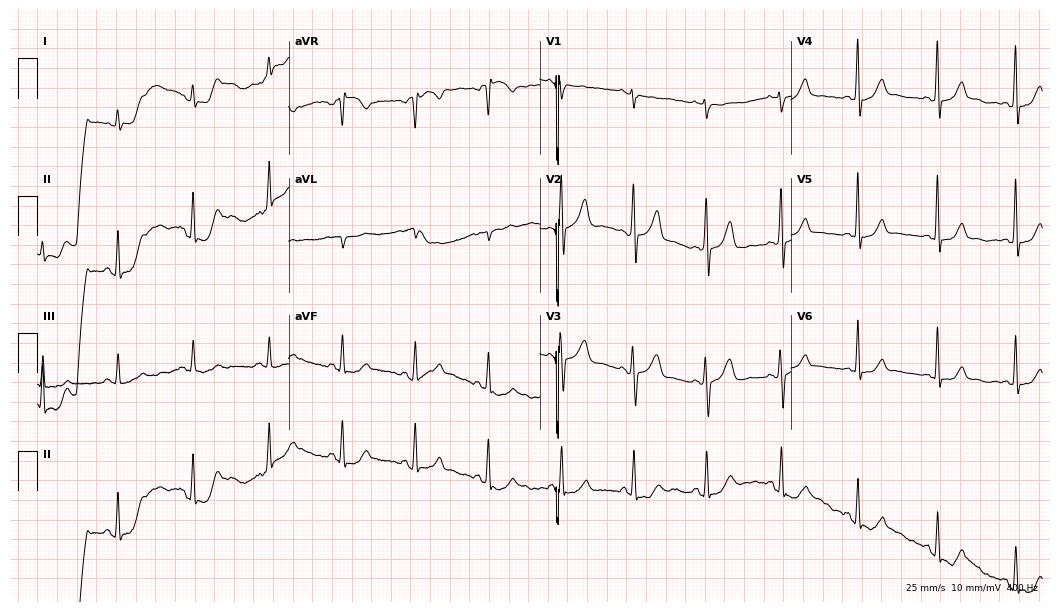
Electrocardiogram (10.2-second recording at 400 Hz), a male patient, 47 years old. Of the six screened findings (first-degree AV block, right bundle branch block, left bundle branch block, sinus bradycardia, atrial fibrillation, sinus tachycardia), none is recorded.